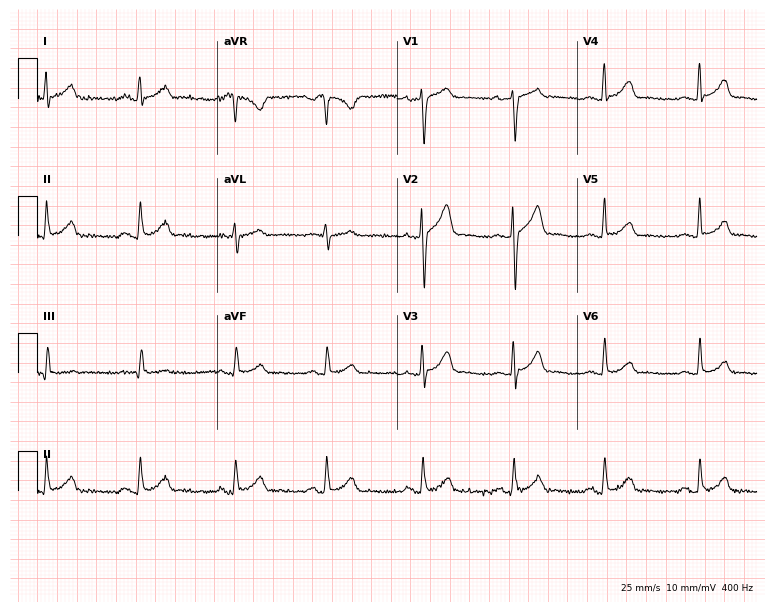
ECG — a 23-year-old male patient. Screened for six findings — first-degree AV block, right bundle branch block, left bundle branch block, sinus bradycardia, atrial fibrillation, sinus tachycardia — none is recorded. Findings outside these six are not listed.